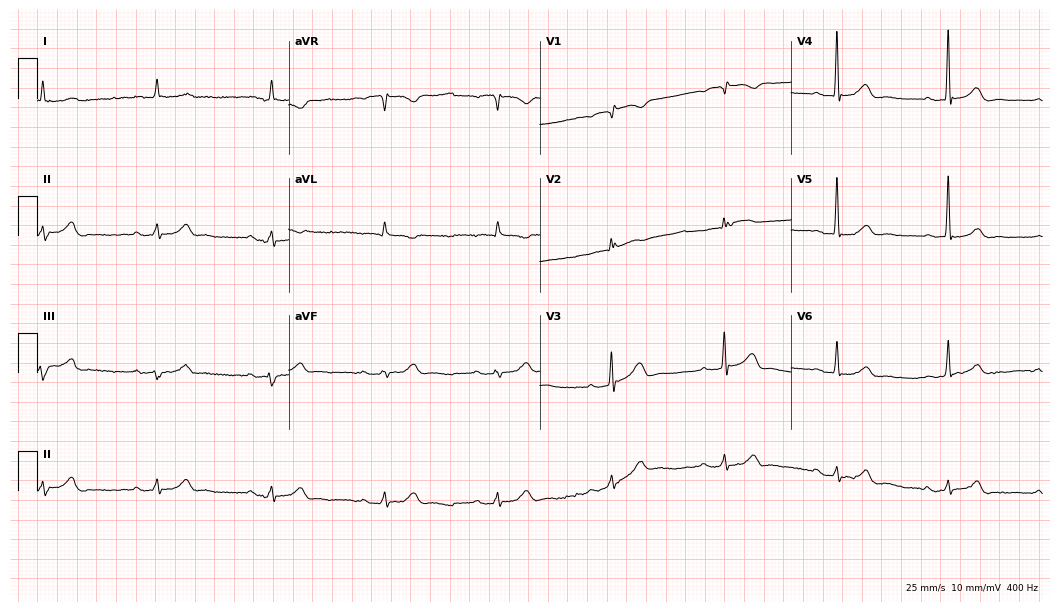
12-lead ECG from an 83-year-old male patient. Screened for six findings — first-degree AV block, right bundle branch block, left bundle branch block, sinus bradycardia, atrial fibrillation, sinus tachycardia — none is recorded.